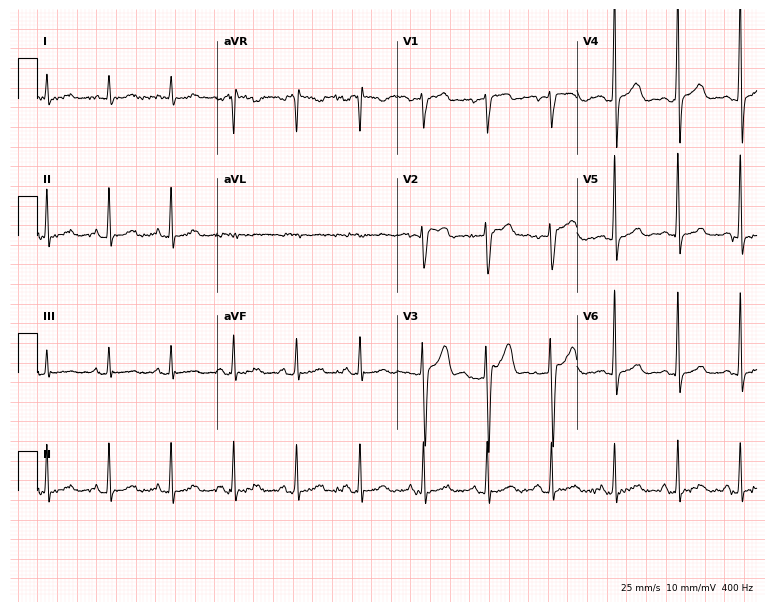
ECG — a male patient, 38 years old. Labelled as a normal ECG.